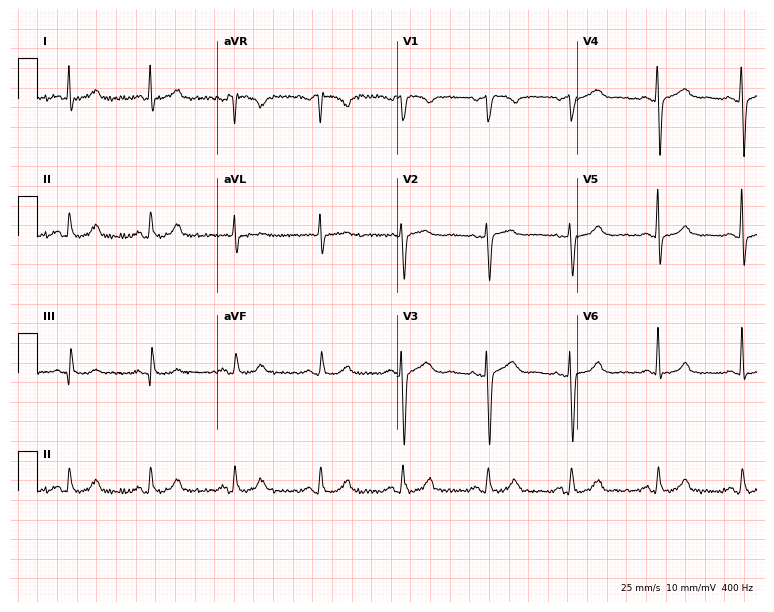
12-lead ECG (7.3-second recording at 400 Hz) from a female, 42 years old. Screened for six findings — first-degree AV block, right bundle branch block, left bundle branch block, sinus bradycardia, atrial fibrillation, sinus tachycardia — none is recorded.